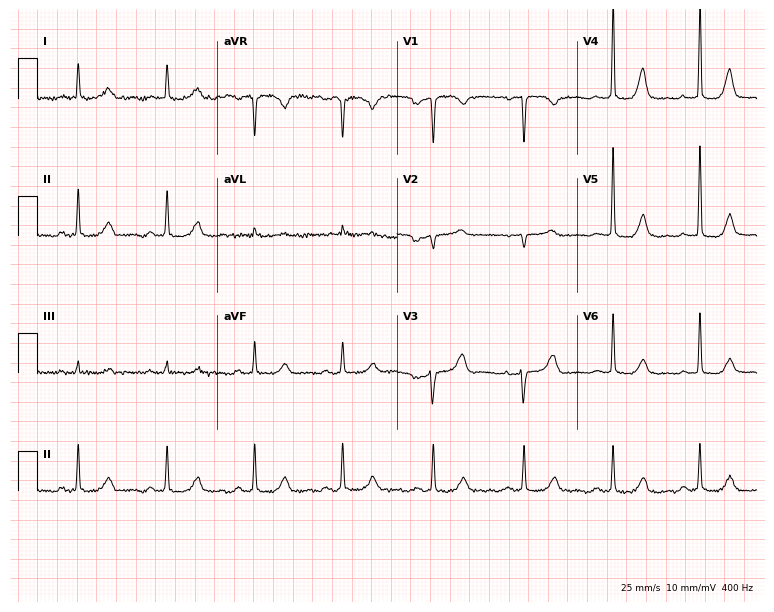
12-lead ECG from a 76-year-old female patient (7.3-second recording at 400 Hz). No first-degree AV block, right bundle branch block, left bundle branch block, sinus bradycardia, atrial fibrillation or sinus tachycardia recorded for this tracing. Findings outside these six are not listed.